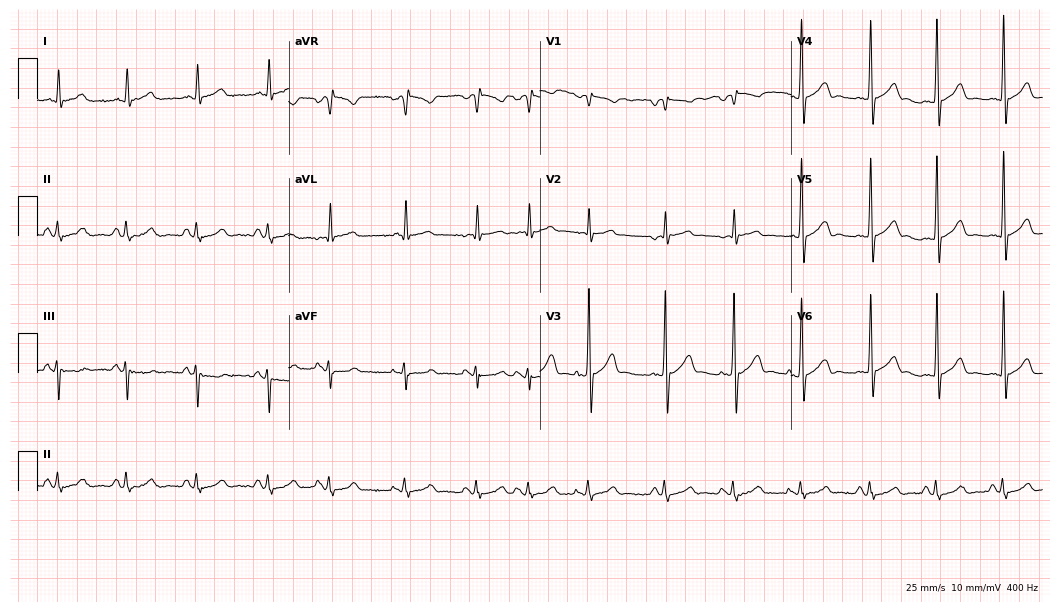
Electrocardiogram (10.2-second recording at 400 Hz), a 75-year-old male patient. Overall reading on record: normal ECG.